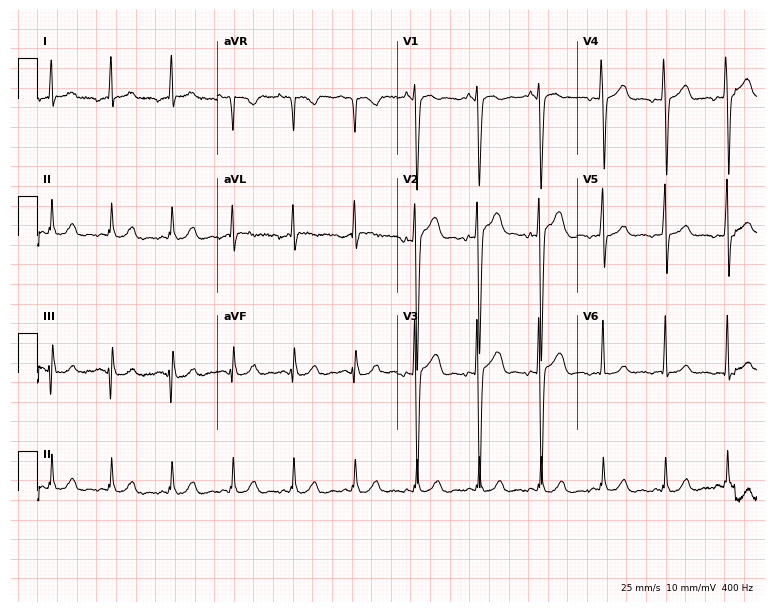
Standard 12-lead ECG recorded from a 29-year-old man. None of these six findings is recorded: first-degree AV block, right bundle branch block, left bundle branch block, sinus bradycardia, atrial fibrillation, sinus tachycardia. Only these six findings were labelled.